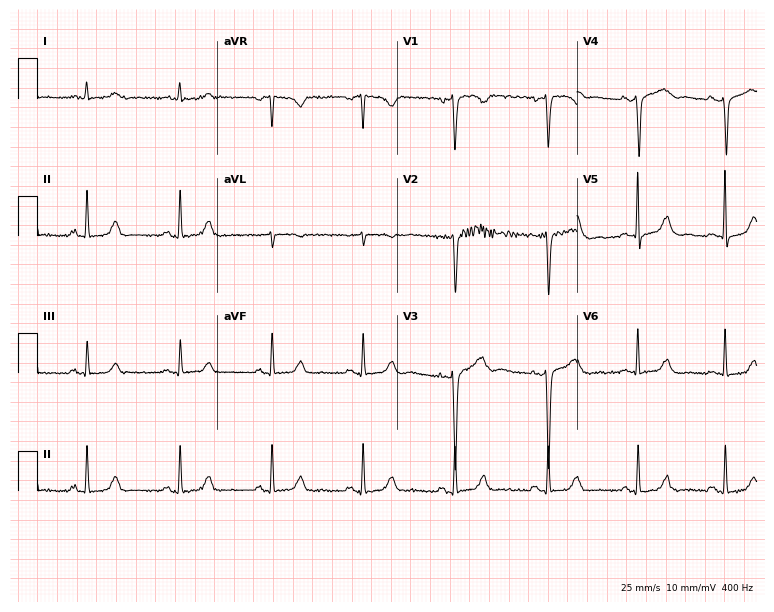
ECG (7.3-second recording at 400 Hz) — a 57-year-old female. Screened for six findings — first-degree AV block, right bundle branch block, left bundle branch block, sinus bradycardia, atrial fibrillation, sinus tachycardia — none is recorded.